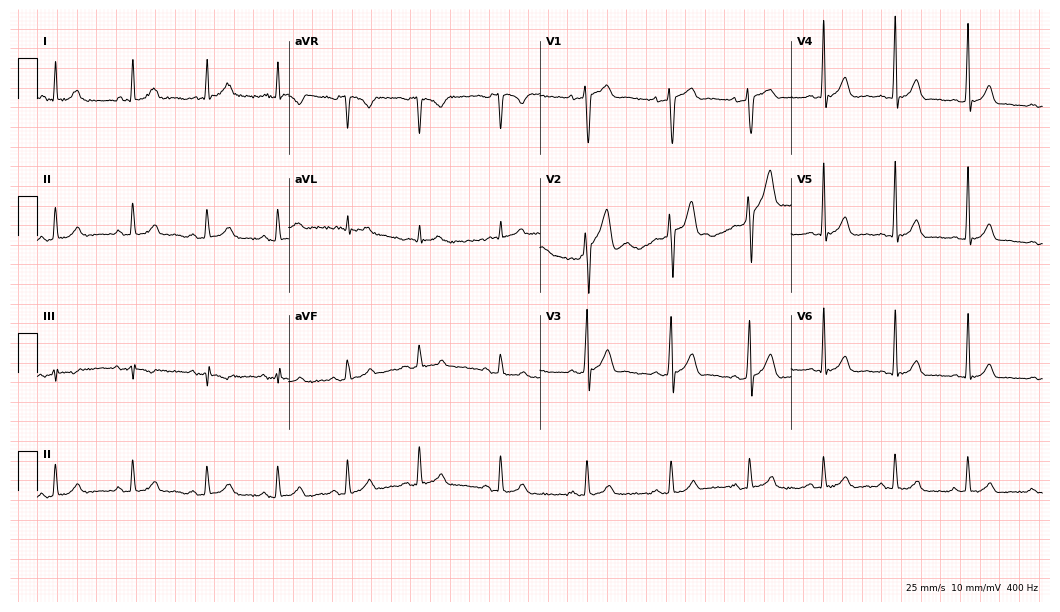
Standard 12-lead ECG recorded from a 29-year-old man (10.2-second recording at 400 Hz). Read as a normal ECG.